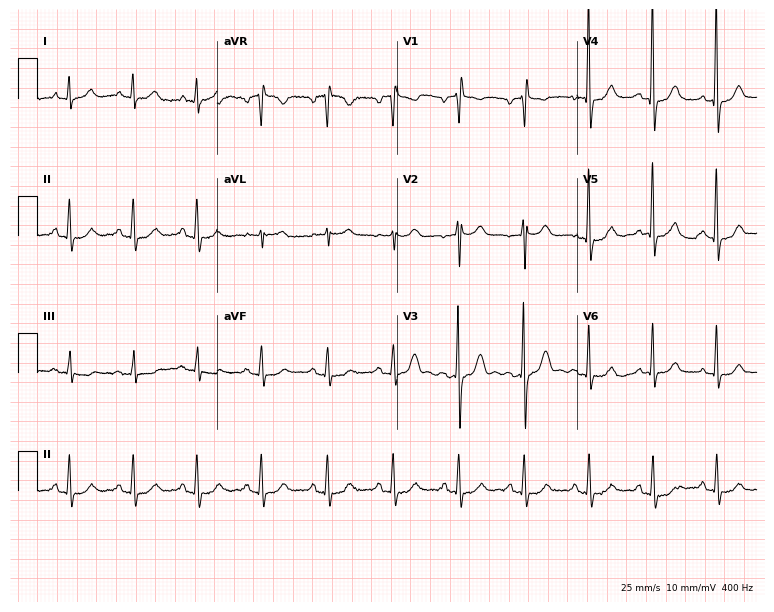
Resting 12-lead electrocardiogram (7.3-second recording at 400 Hz). Patient: a 53-year-old male. None of these six findings is recorded: first-degree AV block, right bundle branch block, left bundle branch block, sinus bradycardia, atrial fibrillation, sinus tachycardia.